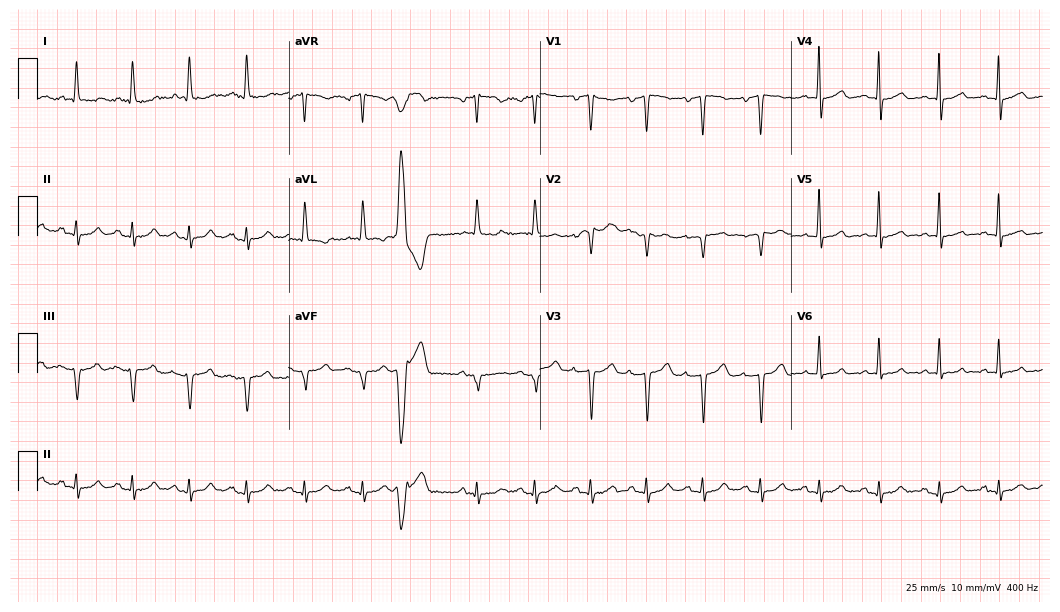
ECG (10.2-second recording at 400 Hz) — a female, 70 years old. Findings include sinus tachycardia (a sinus rate of 100 beats per minute or more).